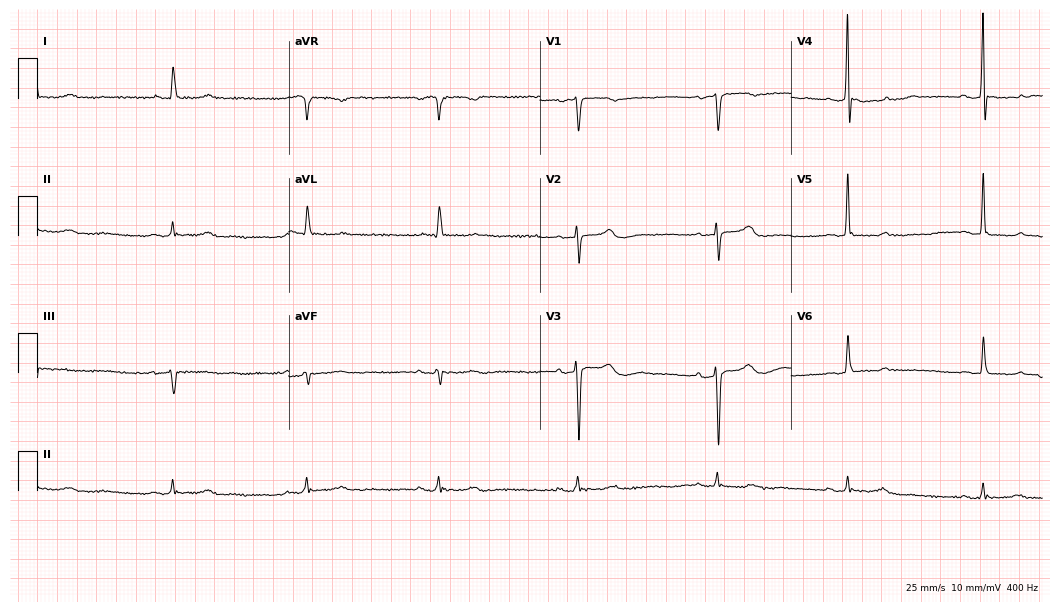
Resting 12-lead electrocardiogram (10.2-second recording at 400 Hz). Patient: a female, 63 years old. The tracing shows sinus bradycardia (a sinus rate of 50 beats per minute or less).